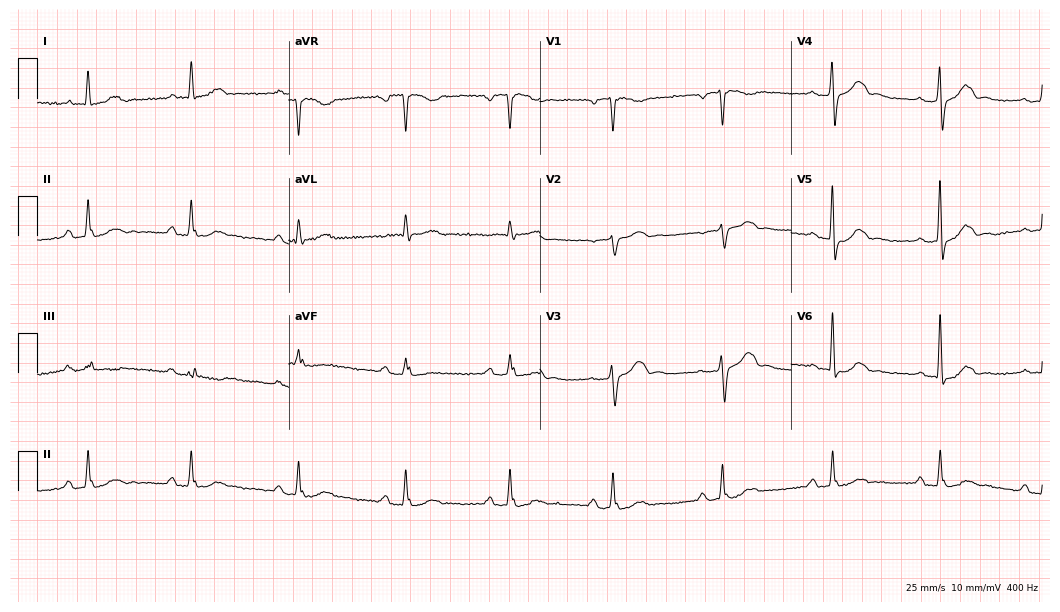
12-lead ECG from a male patient, 64 years old. Screened for six findings — first-degree AV block, right bundle branch block, left bundle branch block, sinus bradycardia, atrial fibrillation, sinus tachycardia — none is recorded.